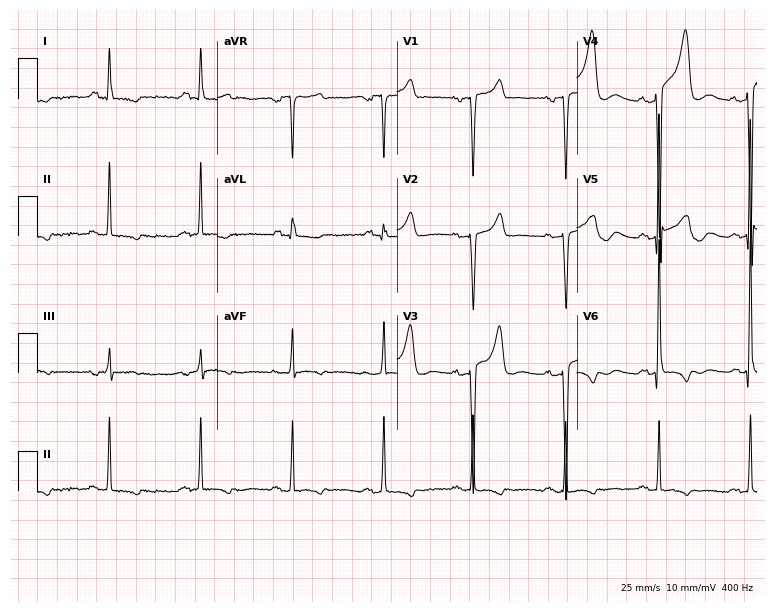
Standard 12-lead ECG recorded from a male patient, 51 years old (7.3-second recording at 400 Hz). None of these six findings is recorded: first-degree AV block, right bundle branch block, left bundle branch block, sinus bradycardia, atrial fibrillation, sinus tachycardia. Findings outside these six are not listed.